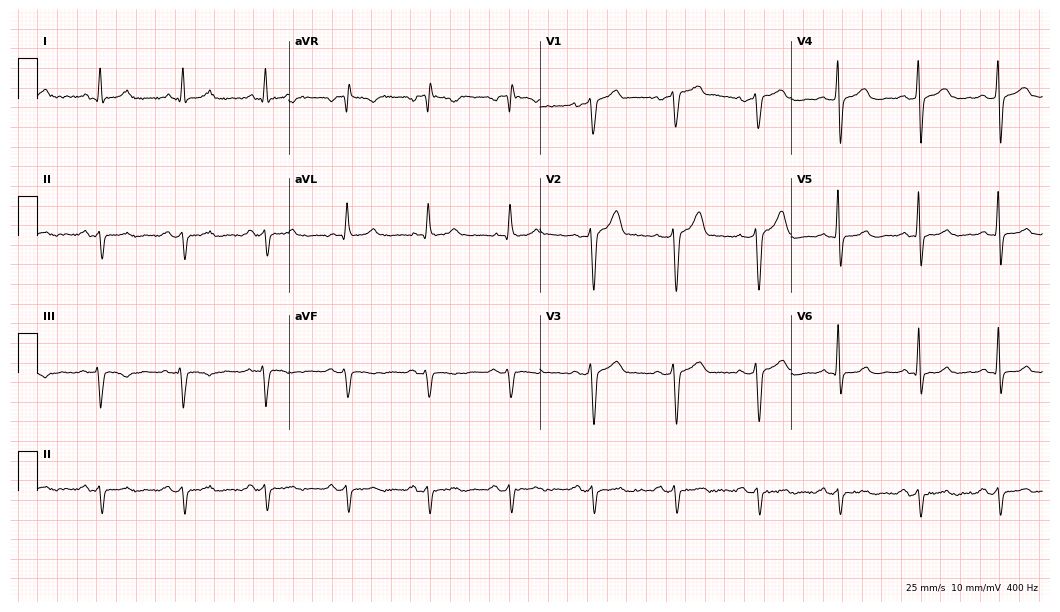
Resting 12-lead electrocardiogram. Patient: a 46-year-old male. None of these six findings is recorded: first-degree AV block, right bundle branch block, left bundle branch block, sinus bradycardia, atrial fibrillation, sinus tachycardia.